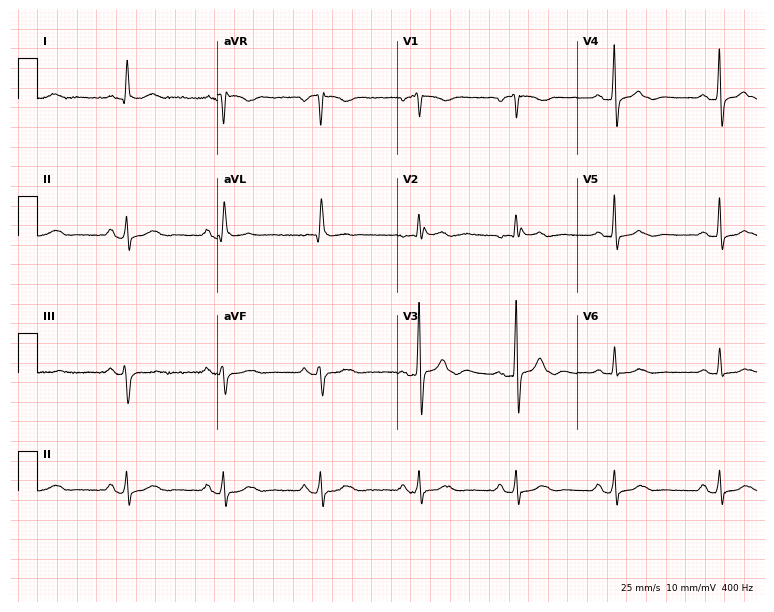
12-lead ECG from a 62-year-old man. Screened for six findings — first-degree AV block, right bundle branch block, left bundle branch block, sinus bradycardia, atrial fibrillation, sinus tachycardia — none is recorded.